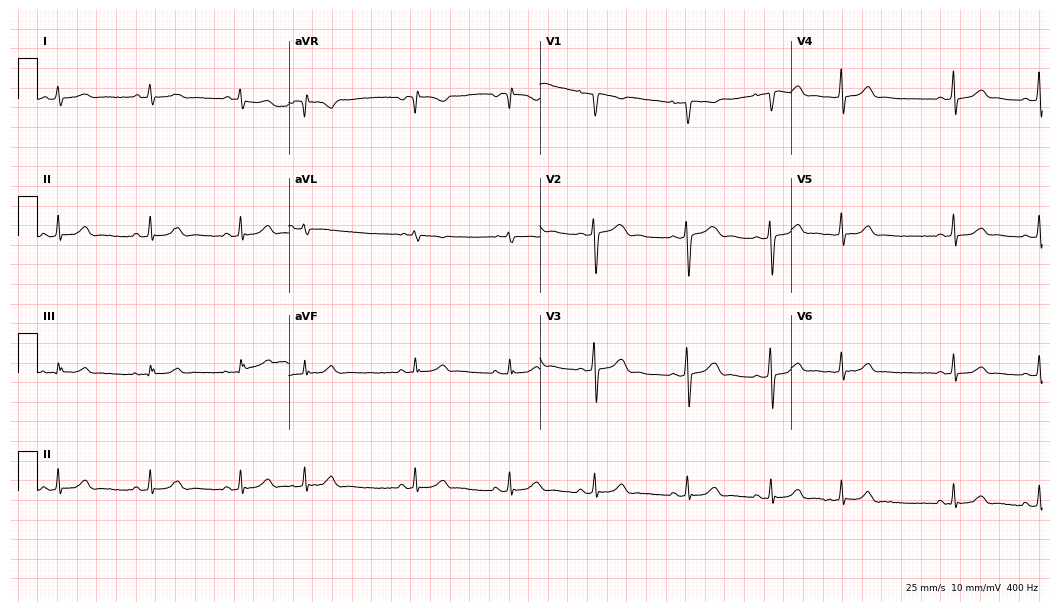
ECG (10.2-second recording at 400 Hz) — a female, 18 years old. Screened for six findings — first-degree AV block, right bundle branch block (RBBB), left bundle branch block (LBBB), sinus bradycardia, atrial fibrillation (AF), sinus tachycardia — none is recorded. Other findings, if any, are not listed.